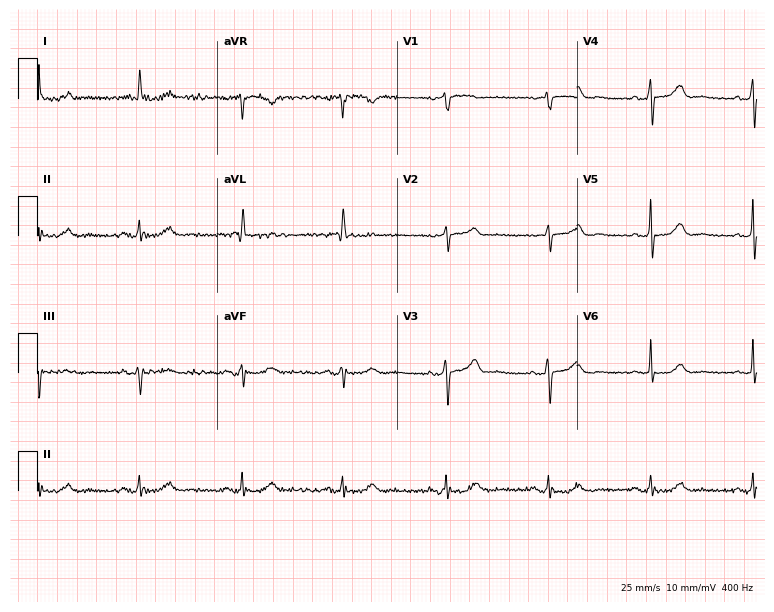
Resting 12-lead electrocardiogram (7.3-second recording at 400 Hz). Patient: a female, 83 years old. Read as a normal ECG.